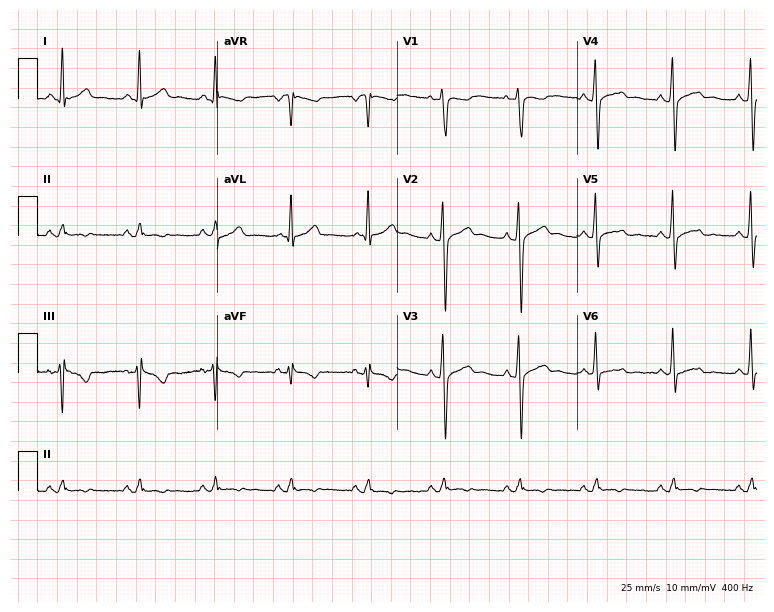
ECG (7.3-second recording at 400 Hz) — a 48-year-old man. Screened for six findings — first-degree AV block, right bundle branch block (RBBB), left bundle branch block (LBBB), sinus bradycardia, atrial fibrillation (AF), sinus tachycardia — none is recorded. Findings outside these six are not listed.